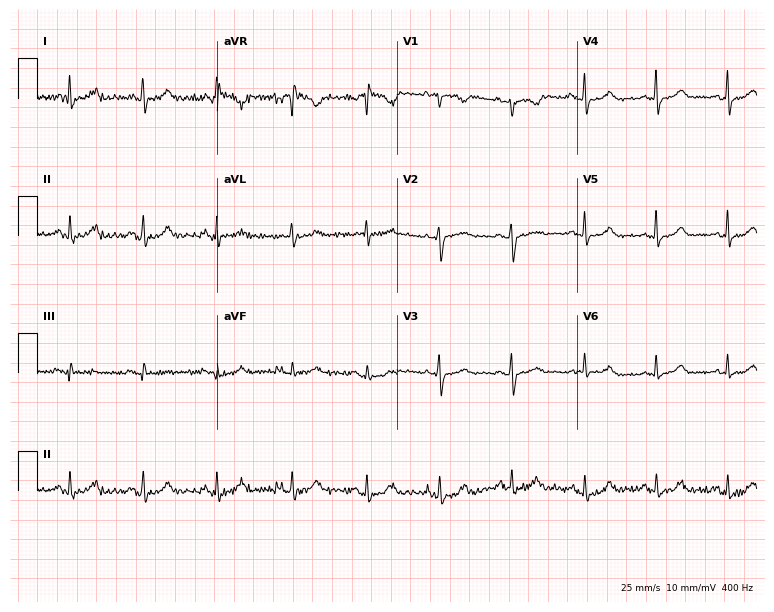
12-lead ECG from a female patient, 52 years old (7.3-second recording at 400 Hz). Recorded interpretation: within normal limits.